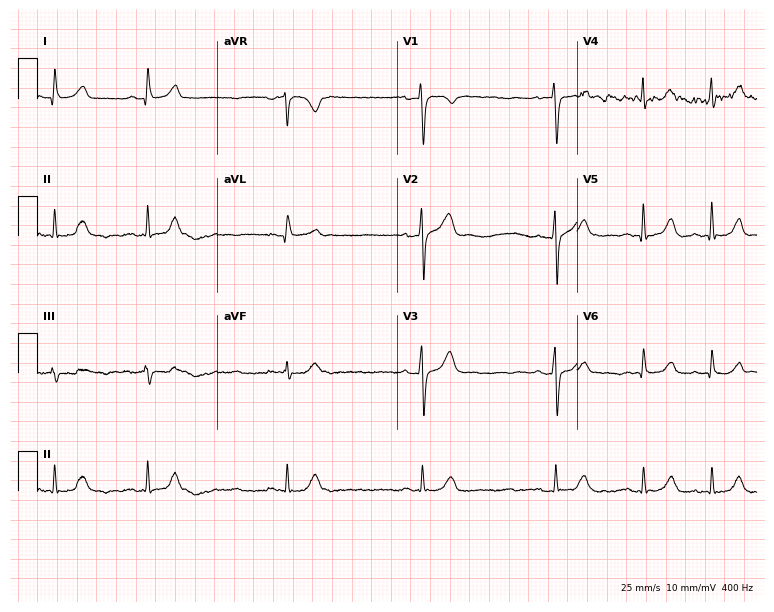
Electrocardiogram, a 59-year-old male patient. Interpretation includes sinus bradycardia (a sinus rate of 50 beats per minute or less).